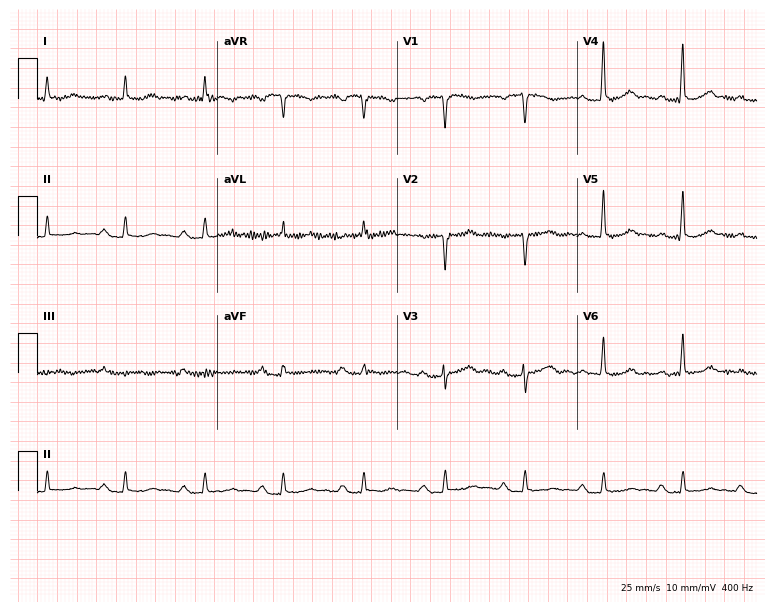
ECG — a female patient, 72 years old. Findings include first-degree AV block.